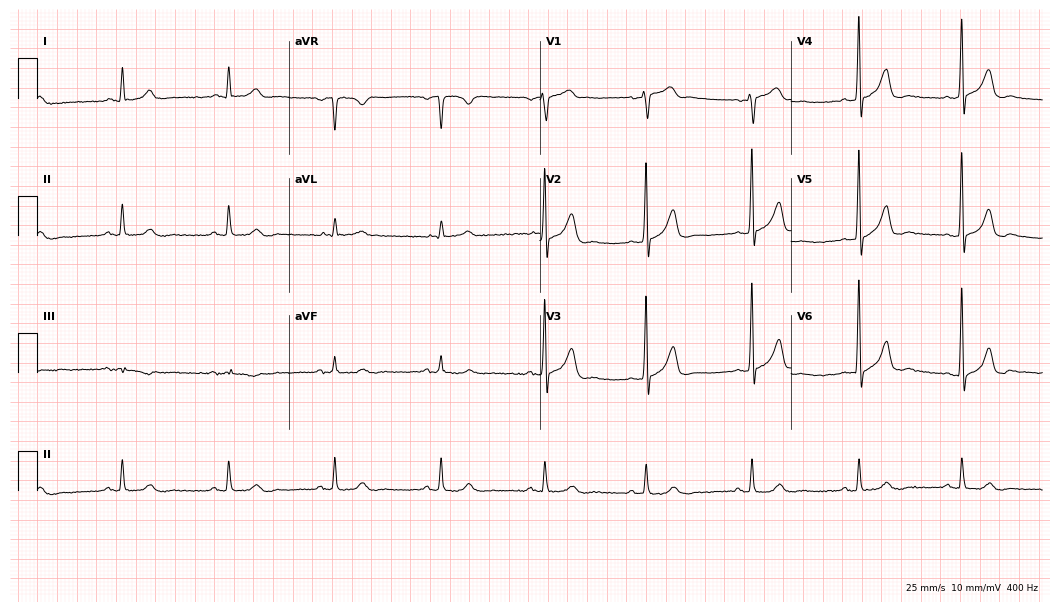
Electrocardiogram (10.2-second recording at 400 Hz), a male, 68 years old. Overall reading on record: normal ECG.